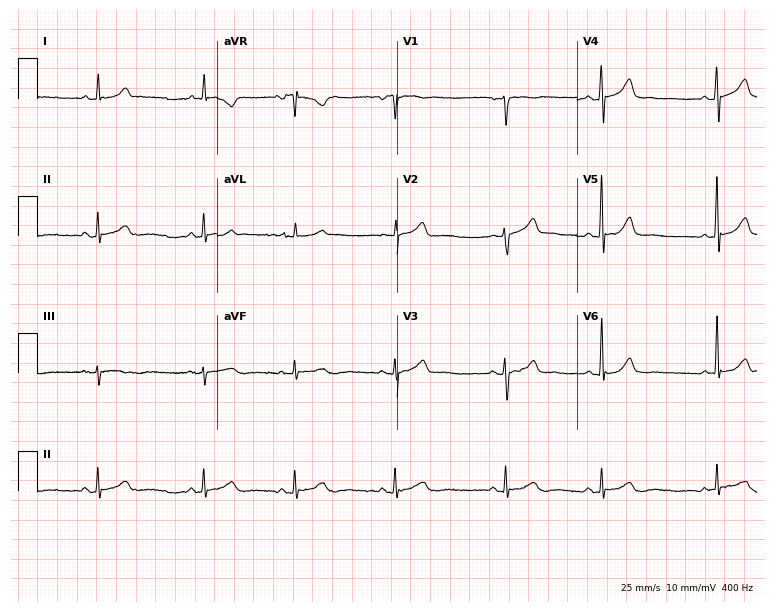
12-lead ECG from a 56-year-old woman. Recorded interpretation: within normal limits.